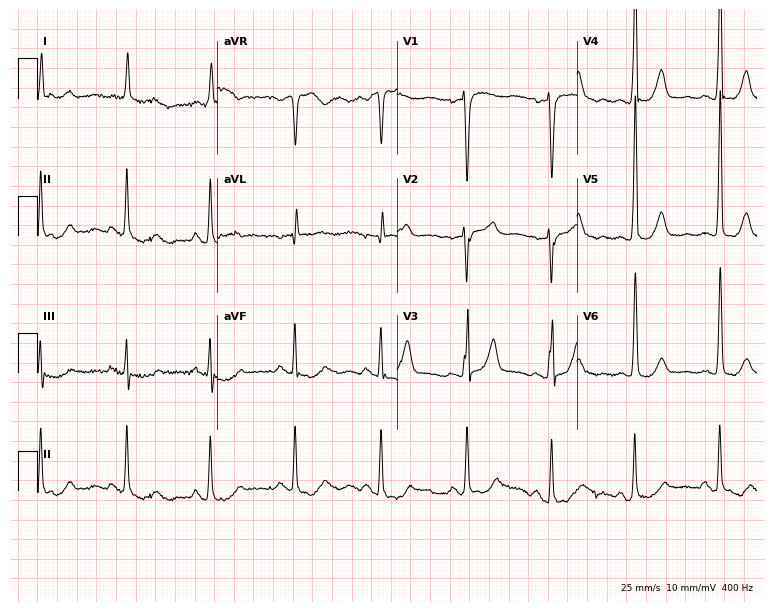
Resting 12-lead electrocardiogram (7.3-second recording at 400 Hz). Patient: a female, 78 years old. None of these six findings is recorded: first-degree AV block, right bundle branch block (RBBB), left bundle branch block (LBBB), sinus bradycardia, atrial fibrillation (AF), sinus tachycardia.